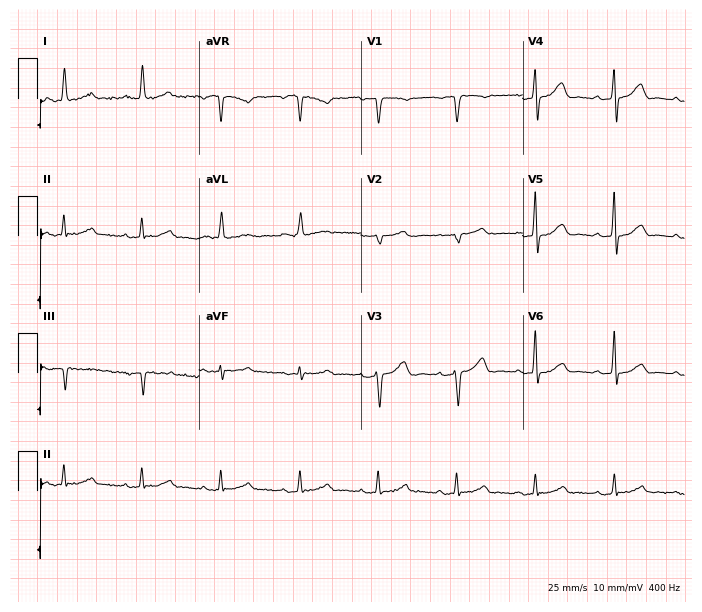
Standard 12-lead ECG recorded from a 74-year-old female (6.6-second recording at 400 Hz). Read as a normal ECG.